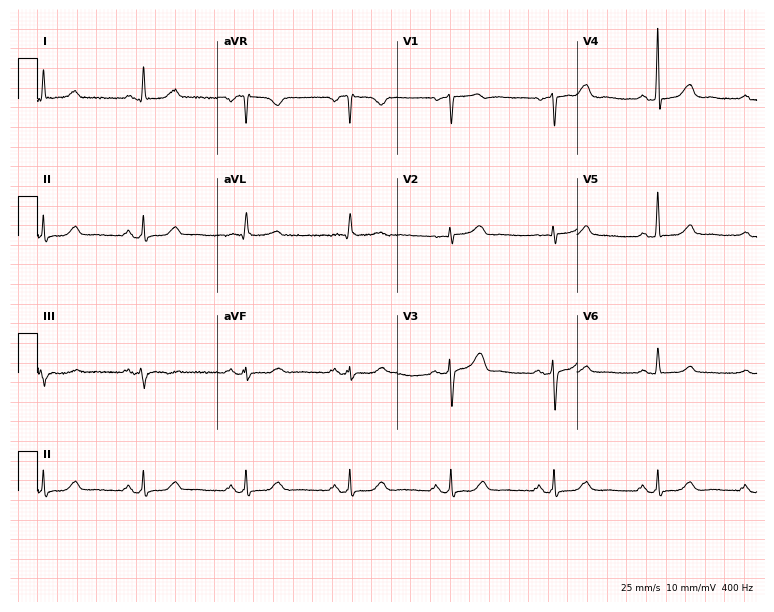
12-lead ECG from a 63-year-old woman. Labelled as a normal ECG.